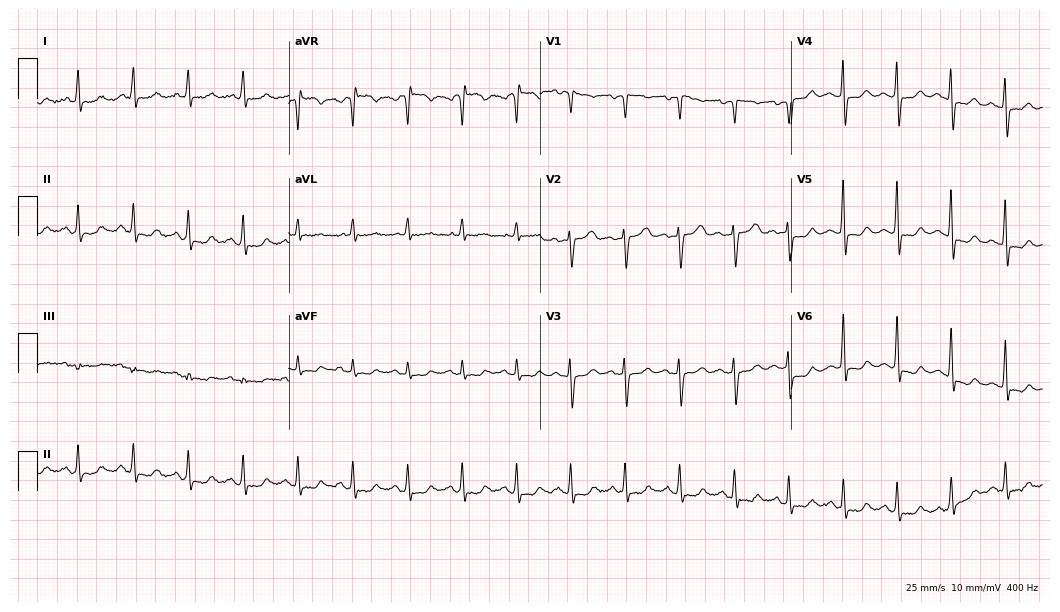
Standard 12-lead ECG recorded from a 75-year-old female (10.2-second recording at 400 Hz). None of these six findings is recorded: first-degree AV block, right bundle branch block (RBBB), left bundle branch block (LBBB), sinus bradycardia, atrial fibrillation (AF), sinus tachycardia.